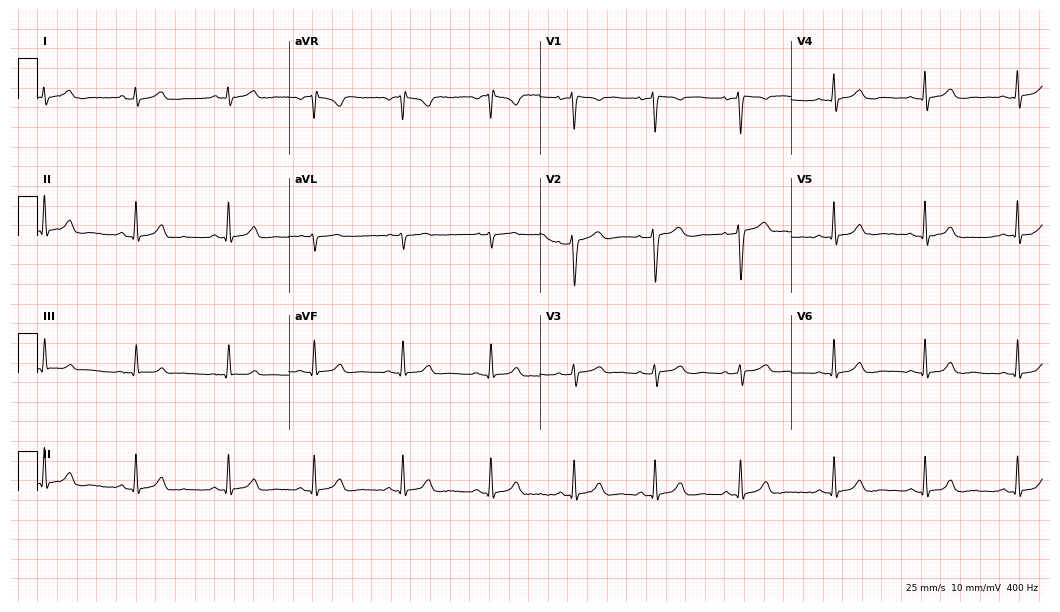
ECG (10.2-second recording at 400 Hz) — a female patient, 41 years old. Labelled as a normal ECG.